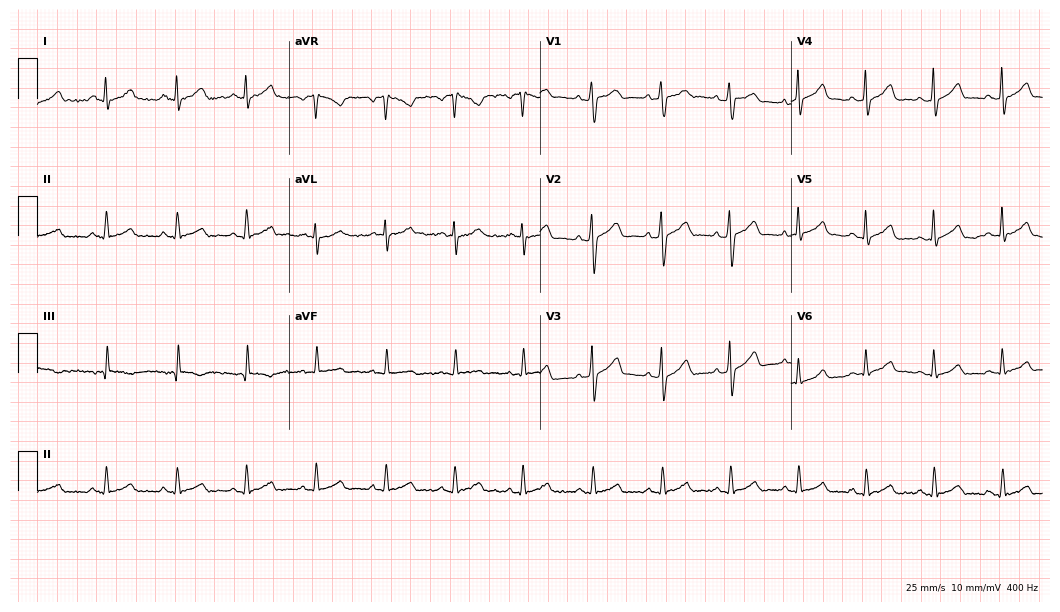
12-lead ECG from a 27-year-old male. Labelled as a normal ECG.